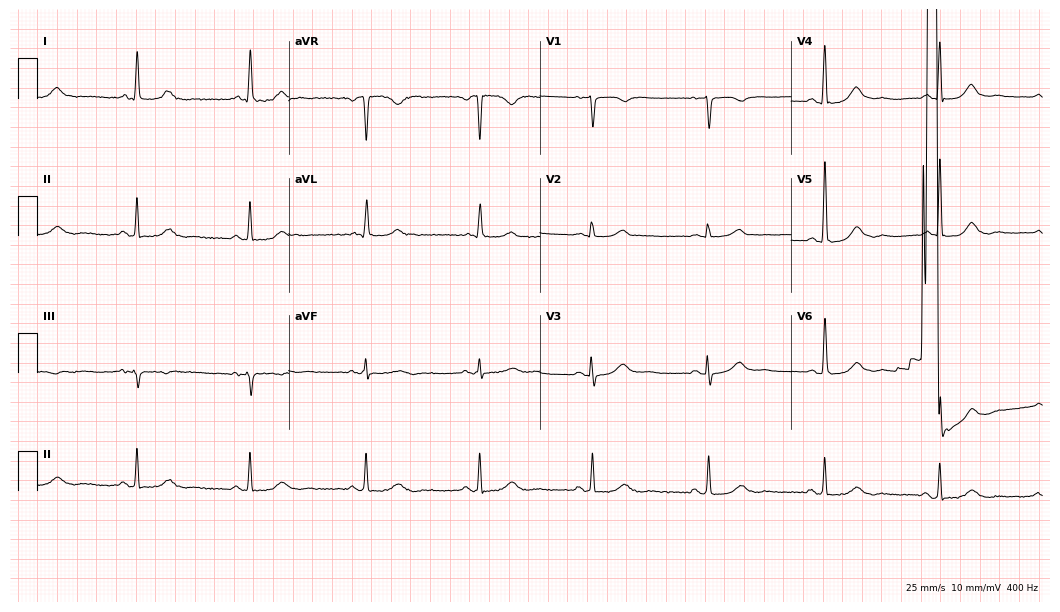
ECG (10.2-second recording at 400 Hz) — an 83-year-old woman. Labelled as a normal ECG.